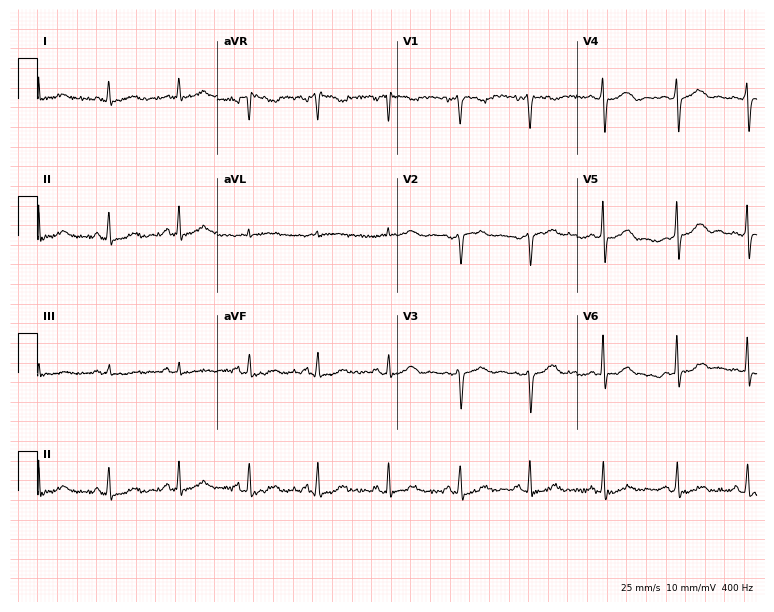
12-lead ECG (7.3-second recording at 400 Hz) from a 56-year-old female. Labelled as a normal ECG.